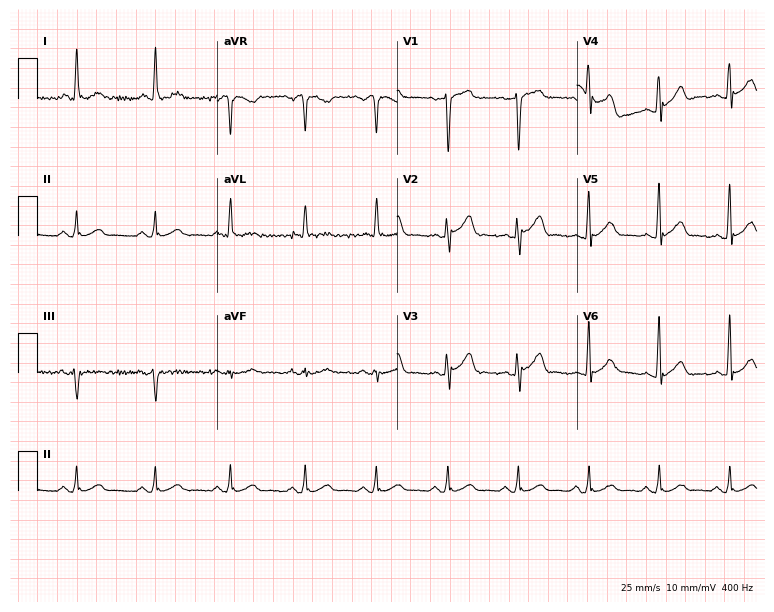
Resting 12-lead electrocardiogram (7.3-second recording at 400 Hz). Patient: a 45-year-old man. Read as a normal ECG.